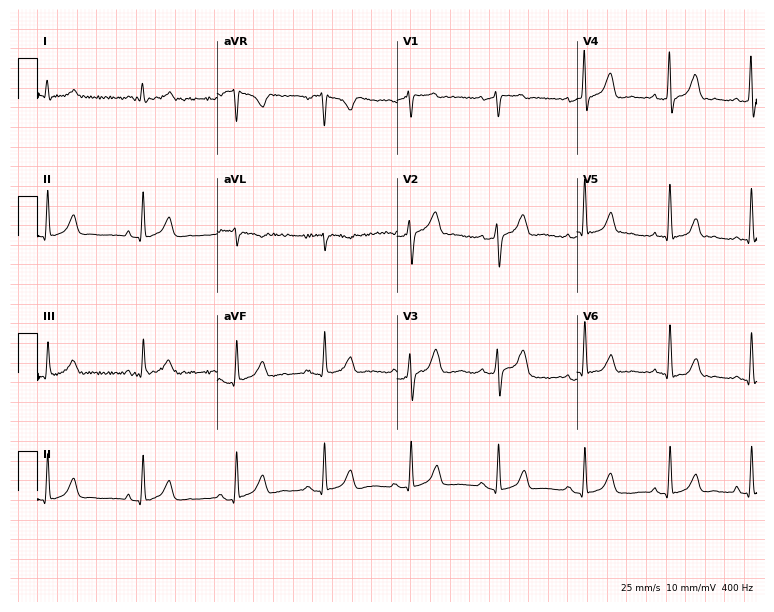
12-lead ECG from a male patient, 68 years old. No first-degree AV block, right bundle branch block, left bundle branch block, sinus bradycardia, atrial fibrillation or sinus tachycardia recorded for this tracing.